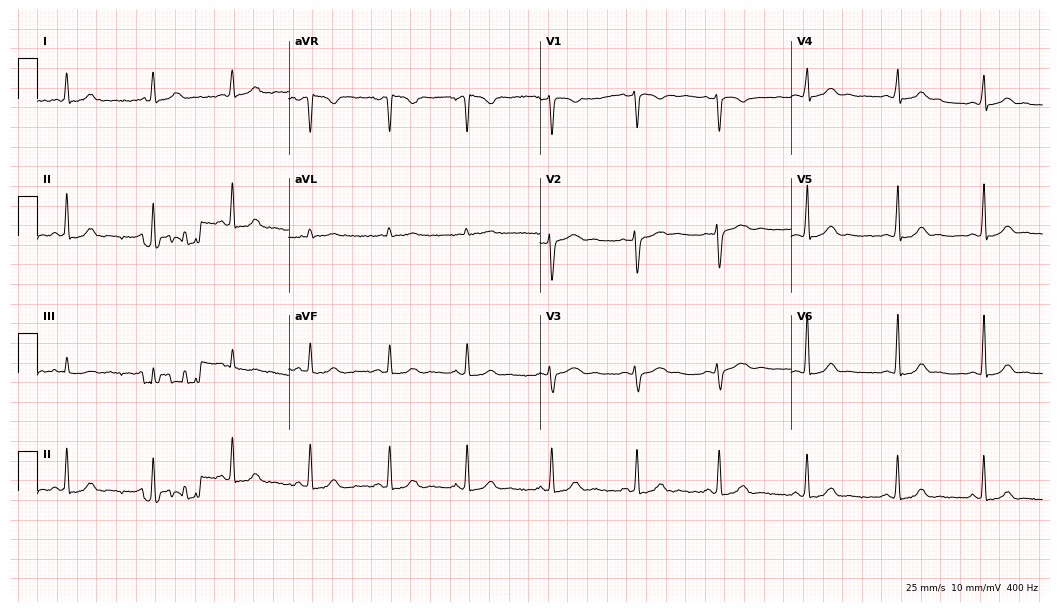
12-lead ECG from a woman, 28 years old (10.2-second recording at 400 Hz). Recorded interpretation: within normal limits.